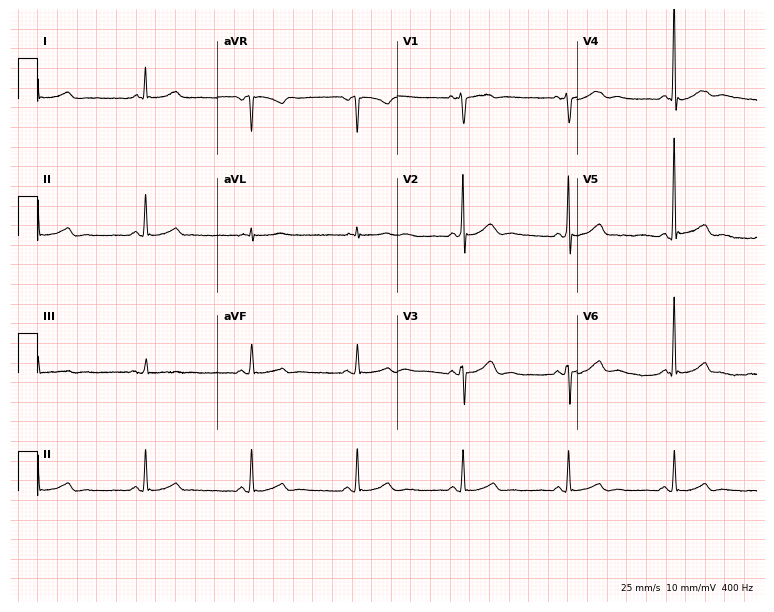
Electrocardiogram, a male, 67 years old. Overall reading on record: normal ECG.